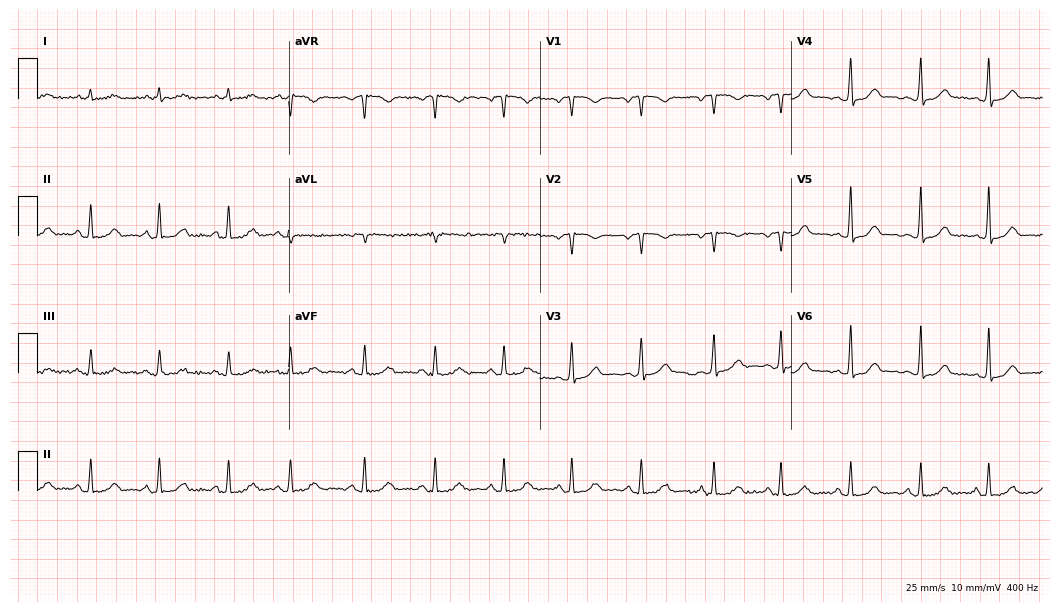
12-lead ECG from a 40-year-old woman. No first-degree AV block, right bundle branch block, left bundle branch block, sinus bradycardia, atrial fibrillation or sinus tachycardia recorded for this tracing. Only these six findings were labelled.